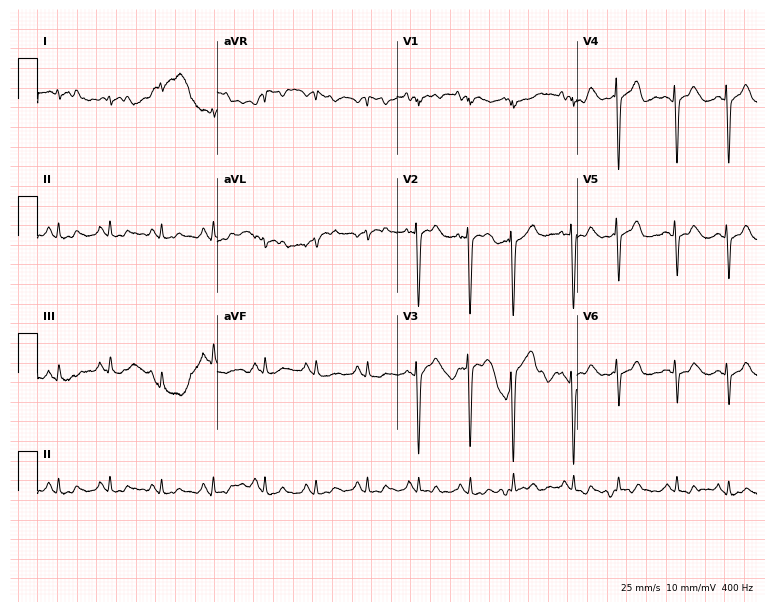
ECG (7.3-second recording at 400 Hz) — a female patient, 76 years old. Screened for six findings — first-degree AV block, right bundle branch block, left bundle branch block, sinus bradycardia, atrial fibrillation, sinus tachycardia — none is recorded.